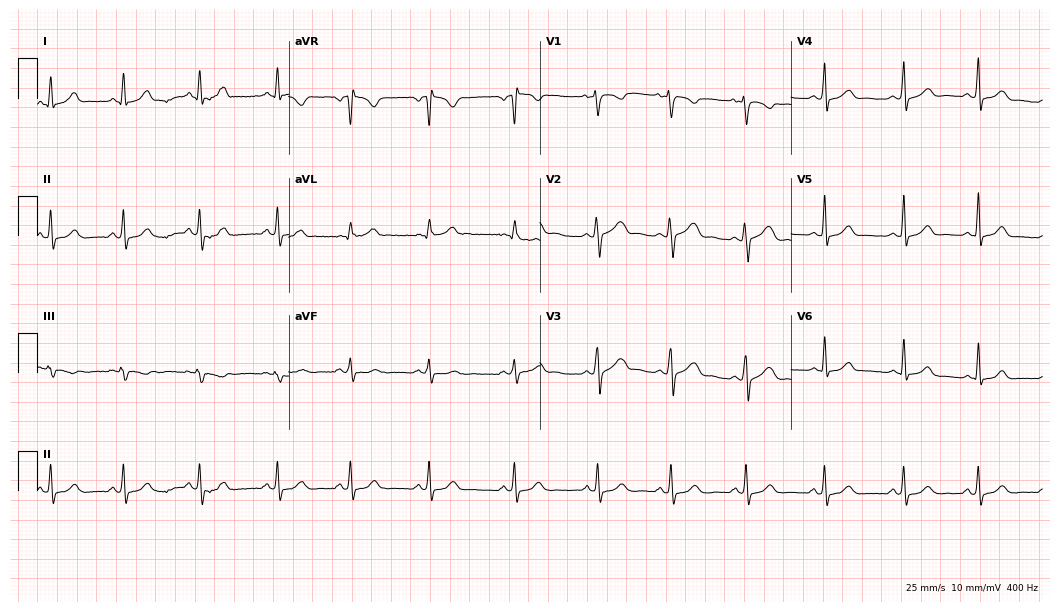
12-lead ECG from a female patient, 21 years old. No first-degree AV block, right bundle branch block (RBBB), left bundle branch block (LBBB), sinus bradycardia, atrial fibrillation (AF) or sinus tachycardia recorded for this tracing. Only these six findings were labelled.